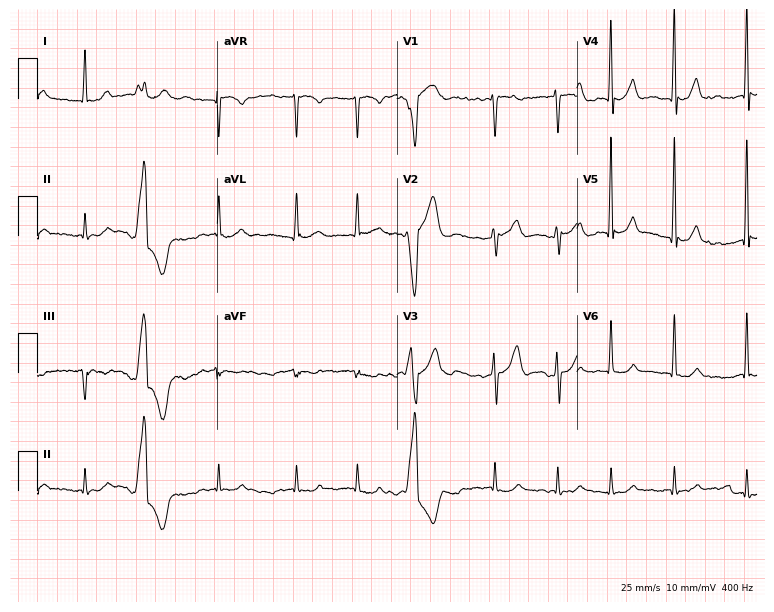
ECG (7.3-second recording at 400 Hz) — a 63-year-old male. Findings include atrial fibrillation.